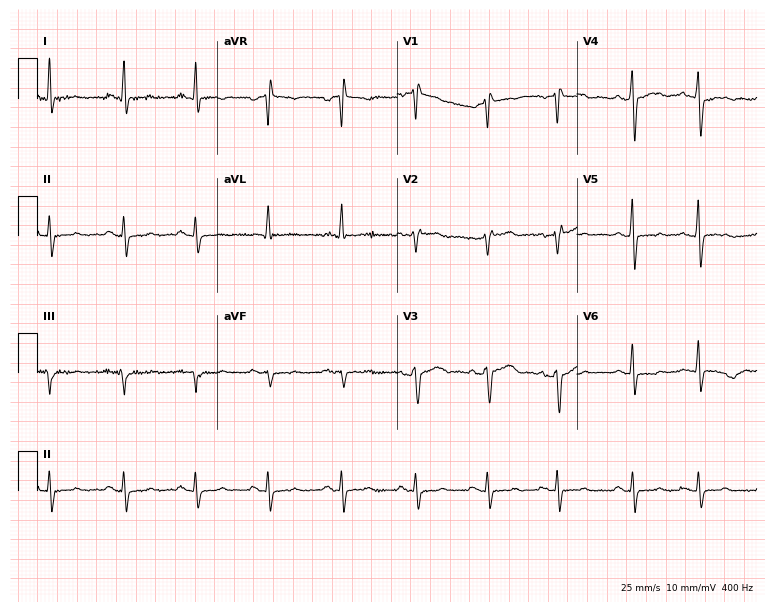
Electrocardiogram, a male, 55 years old. Of the six screened findings (first-degree AV block, right bundle branch block, left bundle branch block, sinus bradycardia, atrial fibrillation, sinus tachycardia), none is recorded.